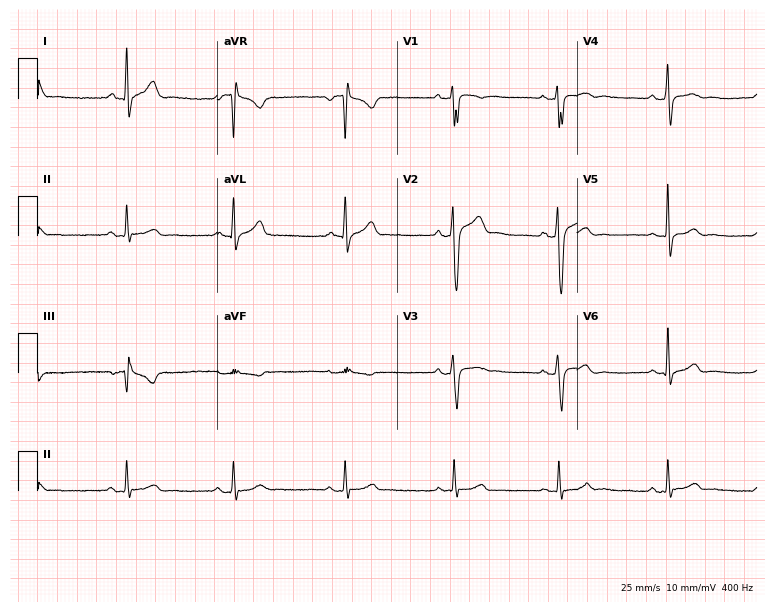
12-lead ECG from a man, 49 years old. No first-degree AV block, right bundle branch block, left bundle branch block, sinus bradycardia, atrial fibrillation or sinus tachycardia recorded for this tracing.